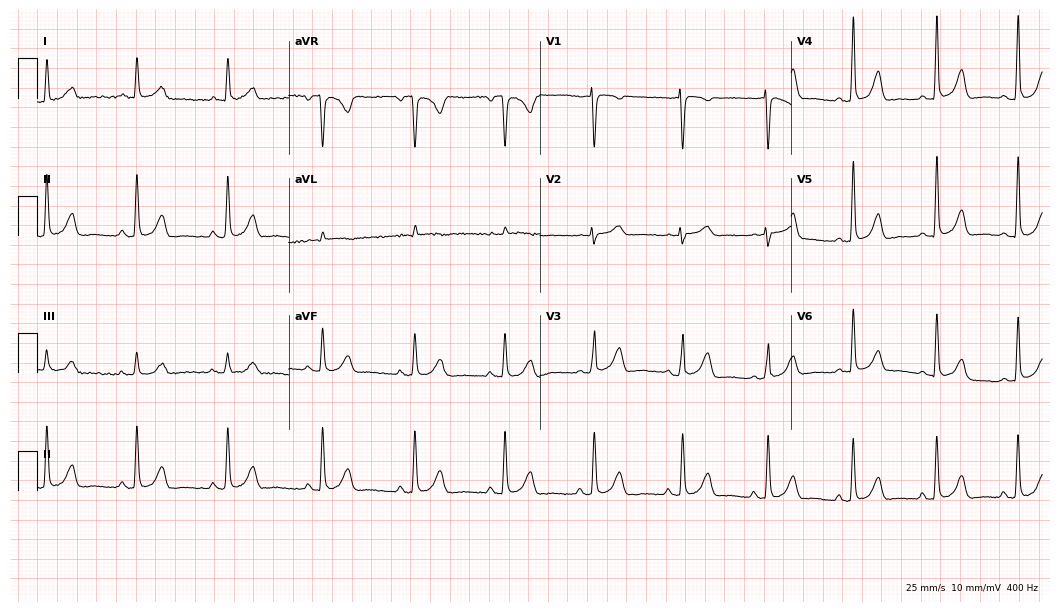
Electrocardiogram, a 76-year-old female patient. Overall reading on record: normal ECG.